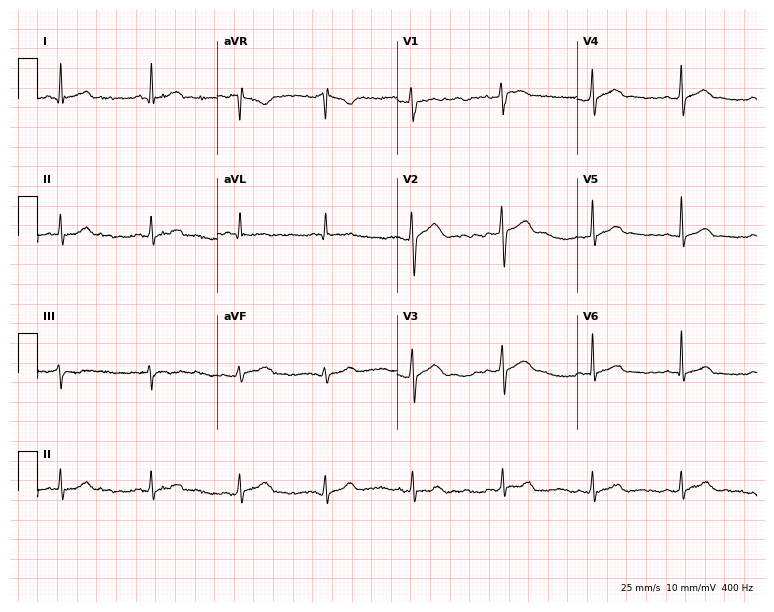
Resting 12-lead electrocardiogram (7.3-second recording at 400 Hz). Patient: a male, 28 years old. Read as a normal ECG.